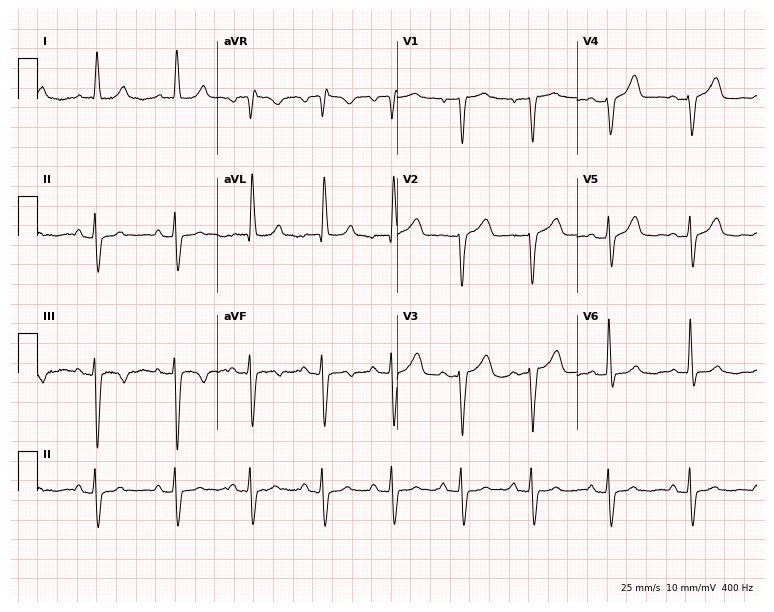
ECG (7.3-second recording at 400 Hz) — a woman, 83 years old. Screened for six findings — first-degree AV block, right bundle branch block (RBBB), left bundle branch block (LBBB), sinus bradycardia, atrial fibrillation (AF), sinus tachycardia — none is recorded. Only these six findings were labelled.